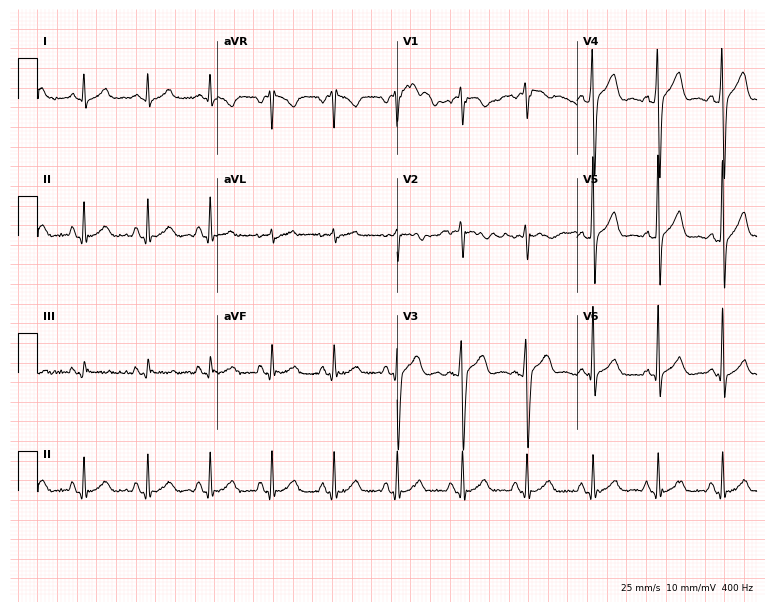
12-lead ECG from a male, 31 years old (7.3-second recording at 400 Hz). Recorded interpretation: within normal limits.